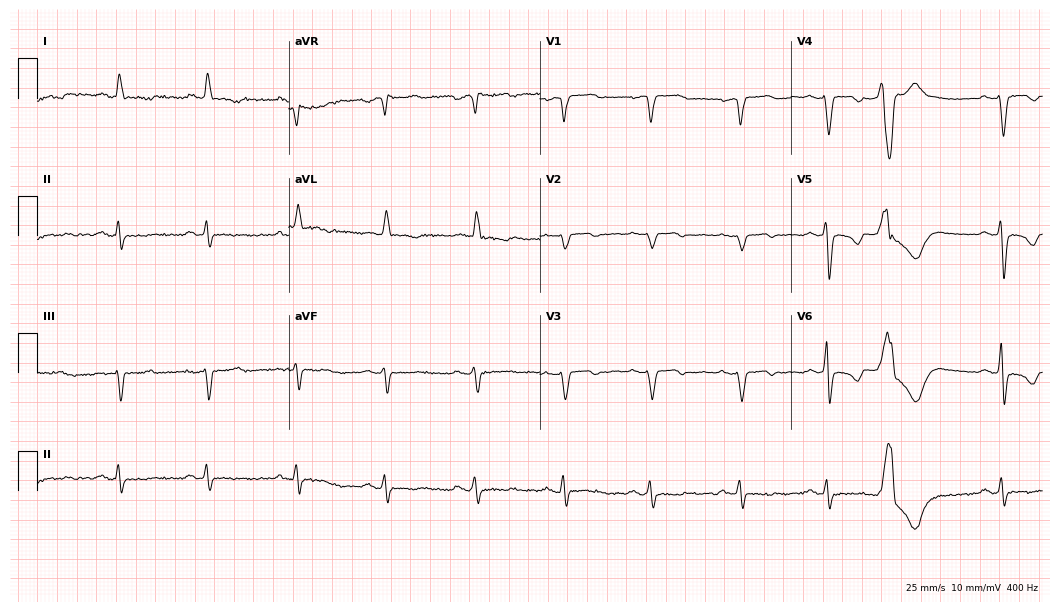
12-lead ECG (10.2-second recording at 400 Hz) from a woman, 72 years old. Findings include left bundle branch block (LBBB).